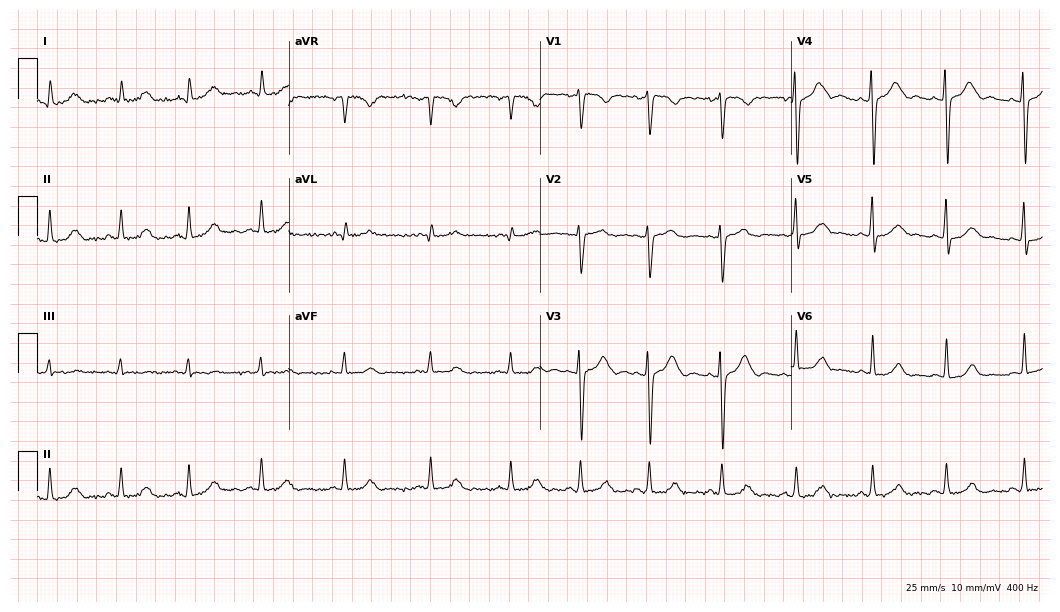
ECG (10.2-second recording at 400 Hz) — a woman, 26 years old. Labelled as a normal ECG.